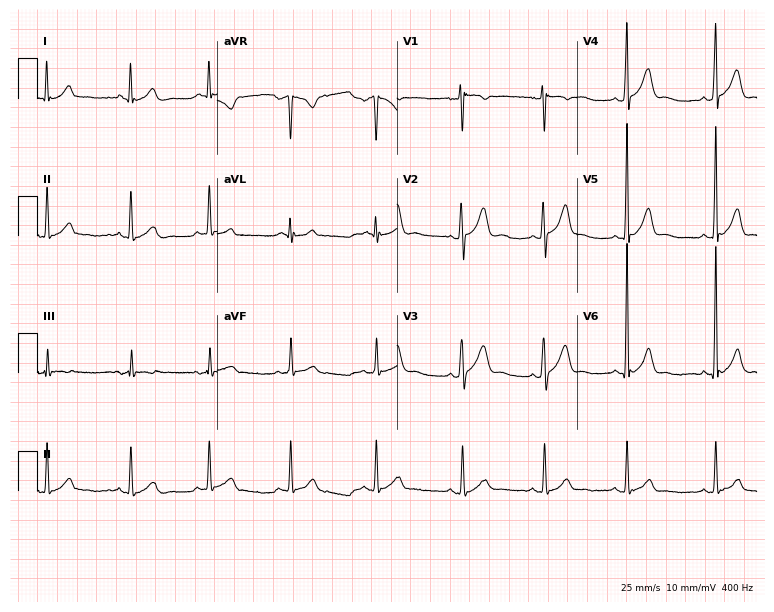
Resting 12-lead electrocardiogram. Patient: a man, 21 years old. Read as a normal ECG.